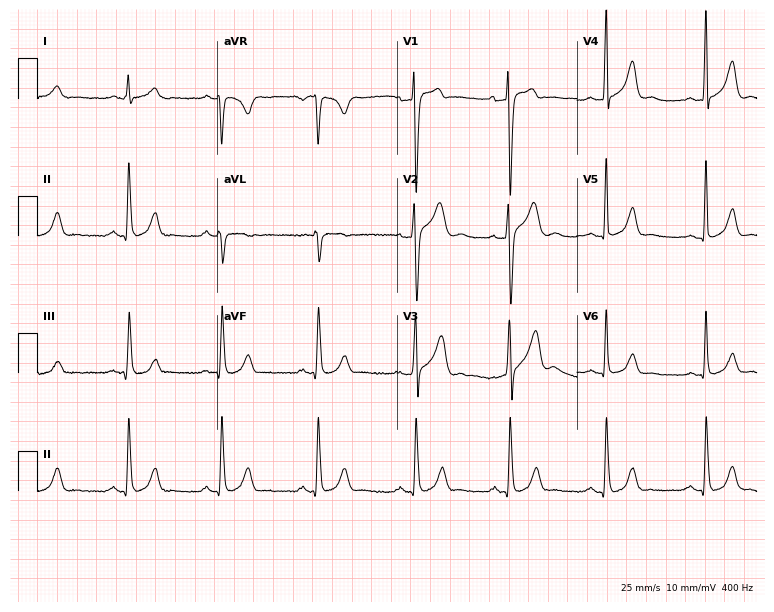
Electrocardiogram (7.3-second recording at 400 Hz), a man, 34 years old. Of the six screened findings (first-degree AV block, right bundle branch block (RBBB), left bundle branch block (LBBB), sinus bradycardia, atrial fibrillation (AF), sinus tachycardia), none is recorded.